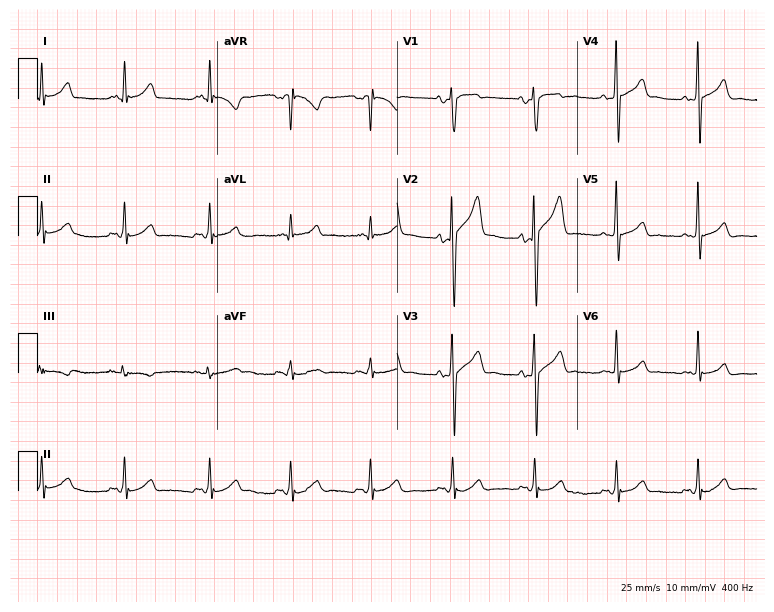
12-lead ECG from a 55-year-old male. Recorded interpretation: within normal limits.